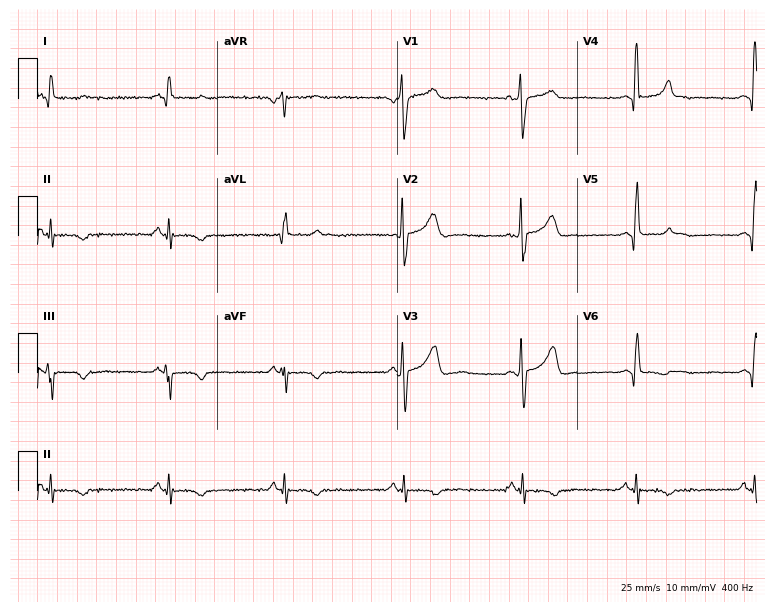
Standard 12-lead ECG recorded from a 47-year-old male patient. None of these six findings is recorded: first-degree AV block, right bundle branch block, left bundle branch block, sinus bradycardia, atrial fibrillation, sinus tachycardia.